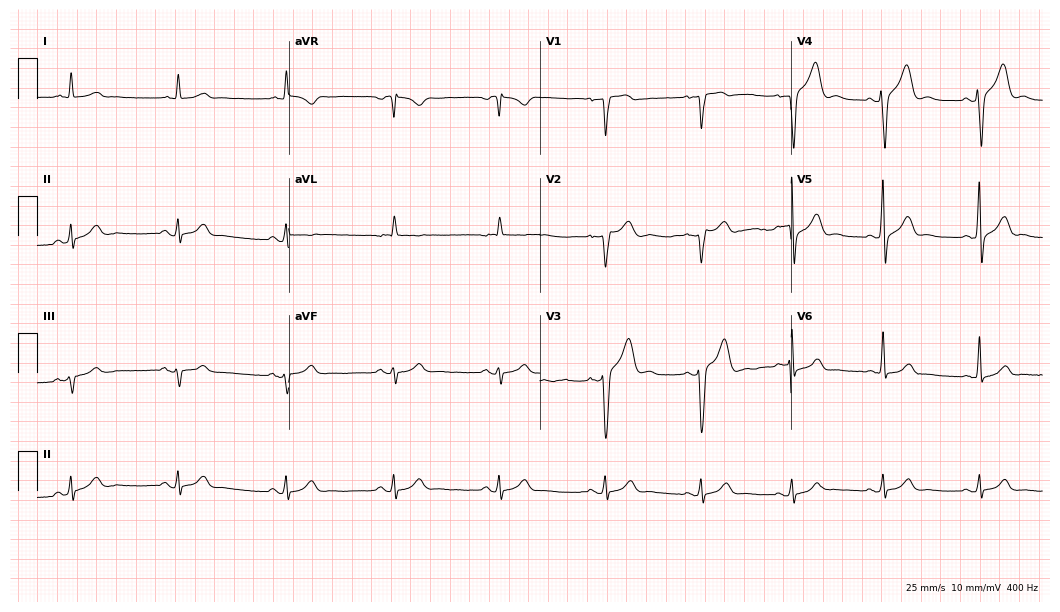
Resting 12-lead electrocardiogram (10.2-second recording at 400 Hz). Patient: a 59-year-old male. Read as a normal ECG.